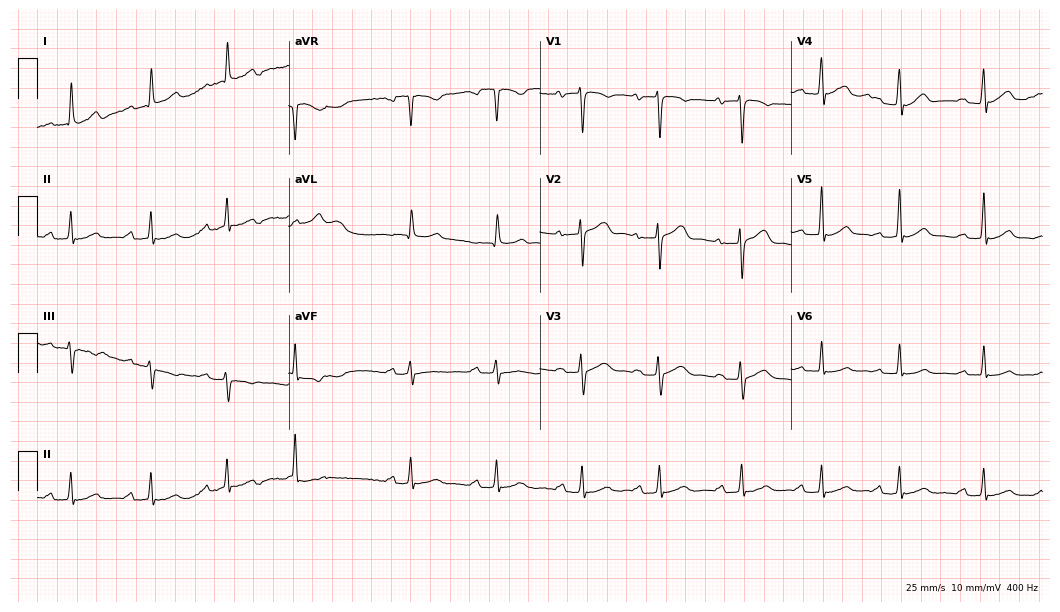
12-lead ECG from a female patient, 35 years old. Shows first-degree AV block.